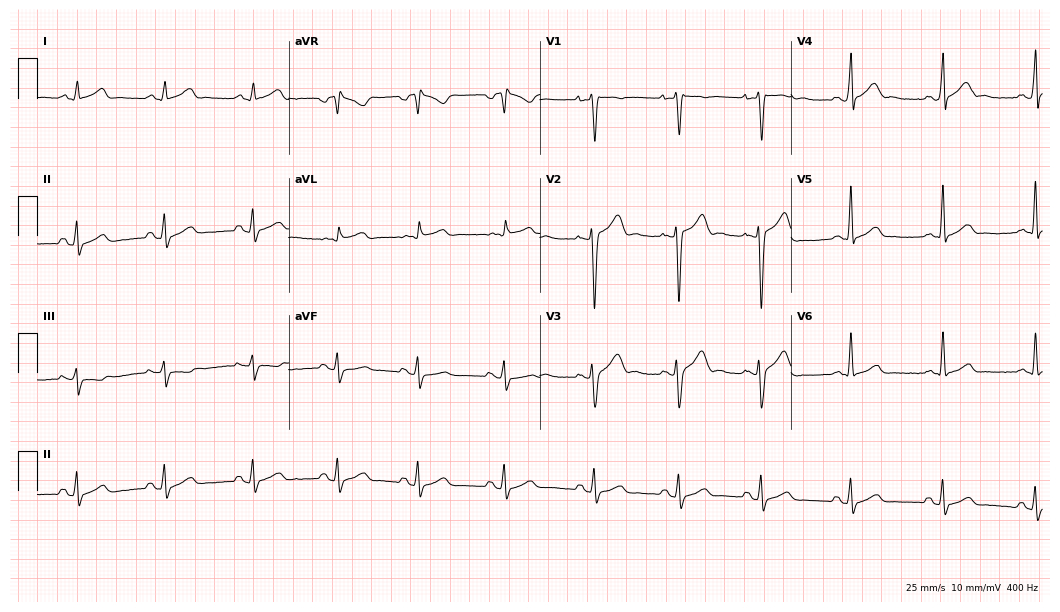
12-lead ECG (10.2-second recording at 400 Hz) from a 23-year-old man. Screened for six findings — first-degree AV block, right bundle branch block, left bundle branch block, sinus bradycardia, atrial fibrillation, sinus tachycardia — none is recorded.